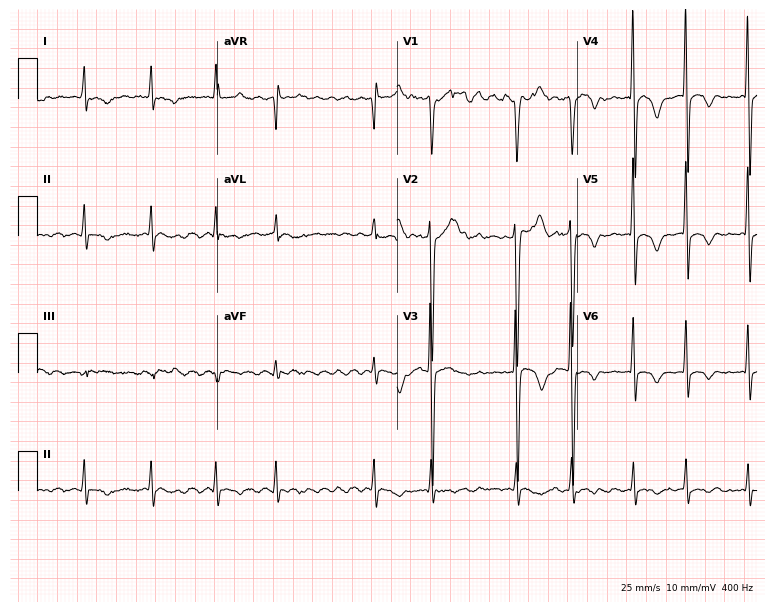
12-lead ECG from a 55-year-old male (7.3-second recording at 400 Hz). Shows atrial fibrillation.